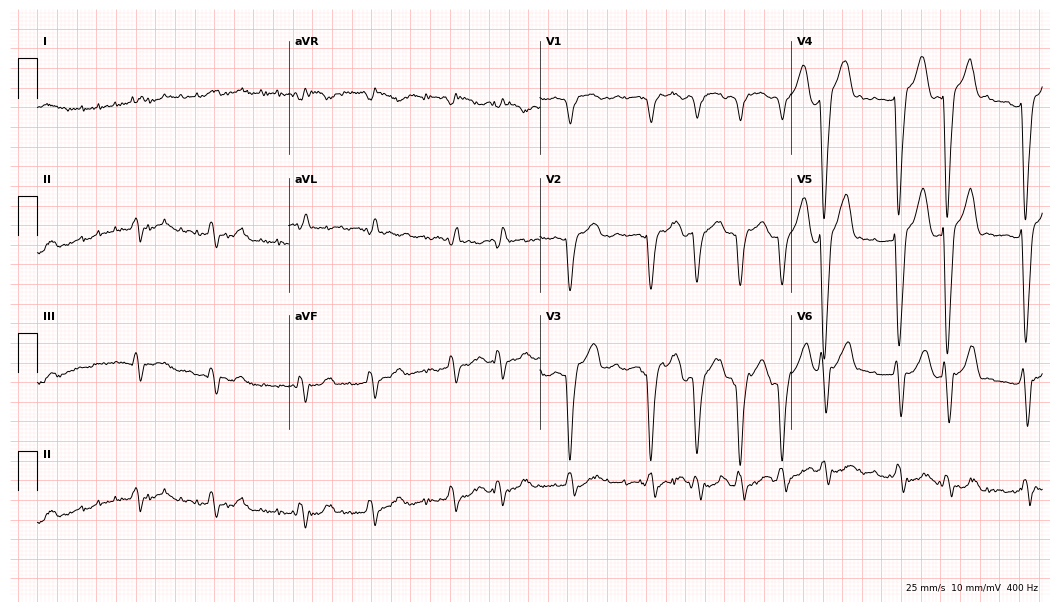
Standard 12-lead ECG recorded from an 83-year-old man. None of these six findings is recorded: first-degree AV block, right bundle branch block (RBBB), left bundle branch block (LBBB), sinus bradycardia, atrial fibrillation (AF), sinus tachycardia.